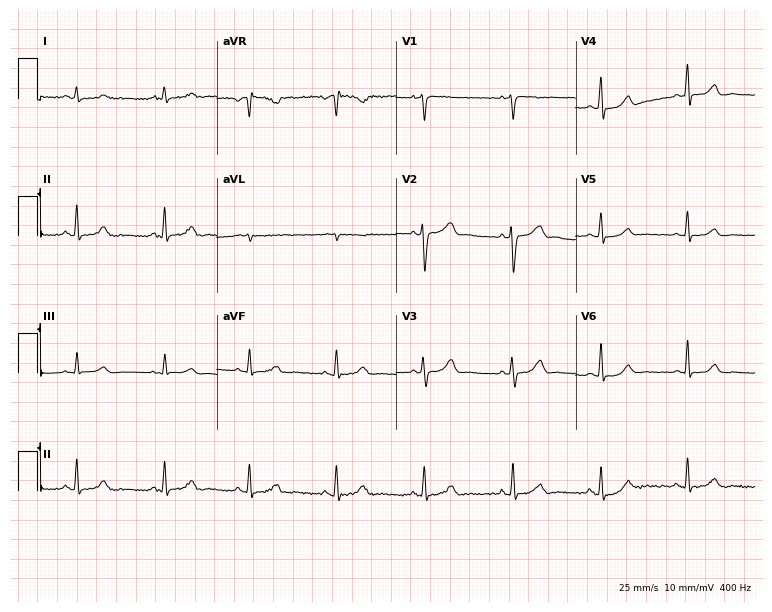
12-lead ECG from a woman, 47 years old (7.3-second recording at 400 Hz). No first-degree AV block, right bundle branch block, left bundle branch block, sinus bradycardia, atrial fibrillation or sinus tachycardia recorded for this tracing. Other findings, if any, are not listed.